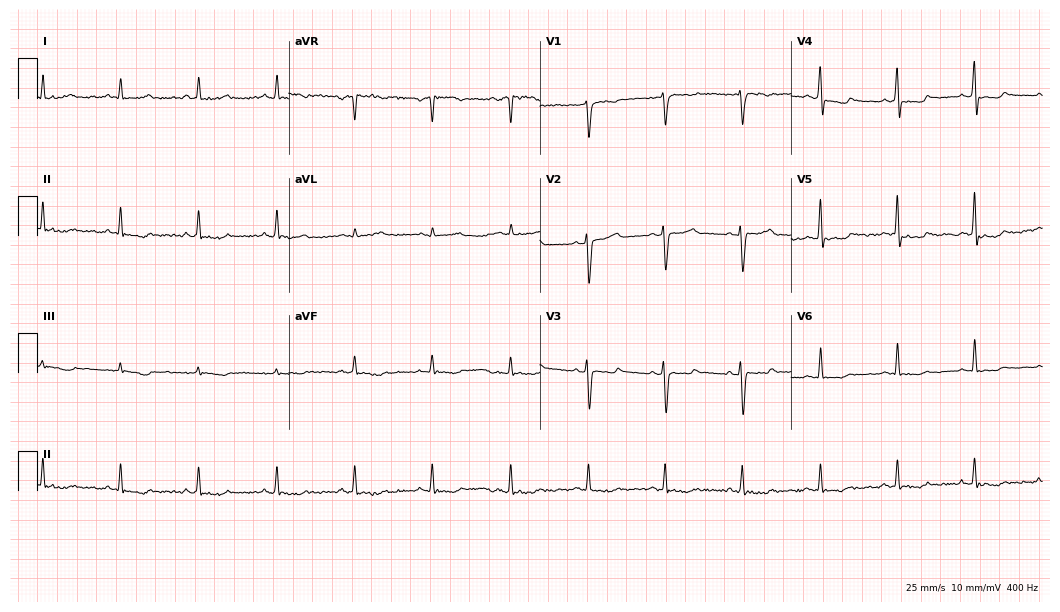
12-lead ECG from a 47-year-old female patient. Screened for six findings — first-degree AV block, right bundle branch block, left bundle branch block, sinus bradycardia, atrial fibrillation, sinus tachycardia — none is recorded.